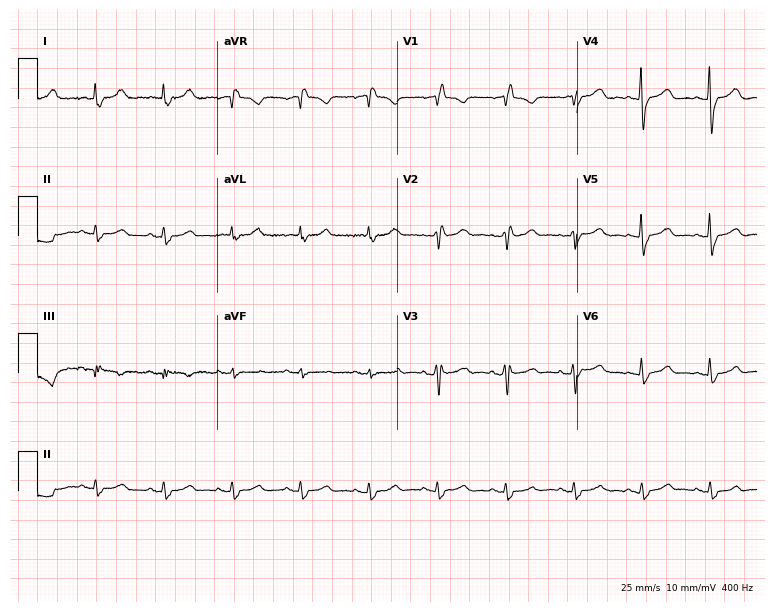
Resting 12-lead electrocardiogram. Patient: an 80-year-old woman. None of these six findings is recorded: first-degree AV block, right bundle branch block, left bundle branch block, sinus bradycardia, atrial fibrillation, sinus tachycardia.